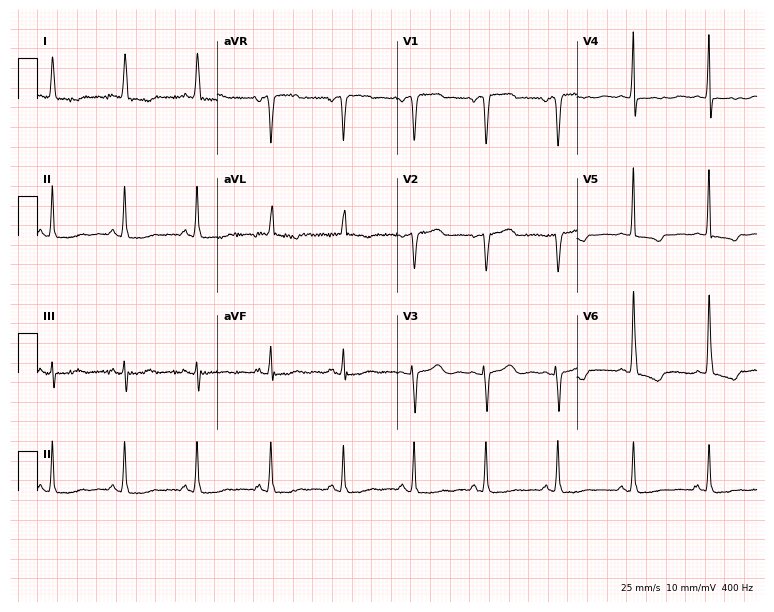
ECG (7.3-second recording at 400 Hz) — a female, 75 years old. Screened for six findings — first-degree AV block, right bundle branch block, left bundle branch block, sinus bradycardia, atrial fibrillation, sinus tachycardia — none is recorded. Other findings, if any, are not listed.